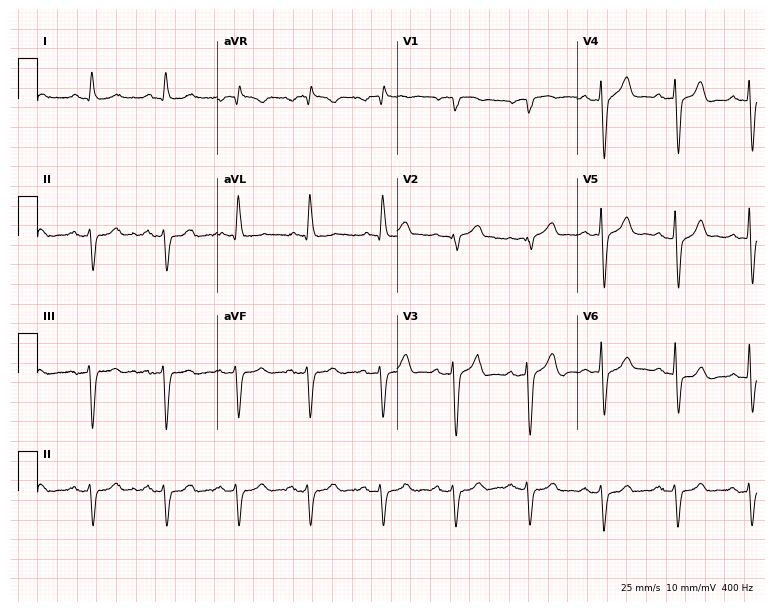
12-lead ECG (7.3-second recording at 400 Hz) from a male patient, 83 years old. Screened for six findings — first-degree AV block, right bundle branch block (RBBB), left bundle branch block (LBBB), sinus bradycardia, atrial fibrillation (AF), sinus tachycardia — none is recorded.